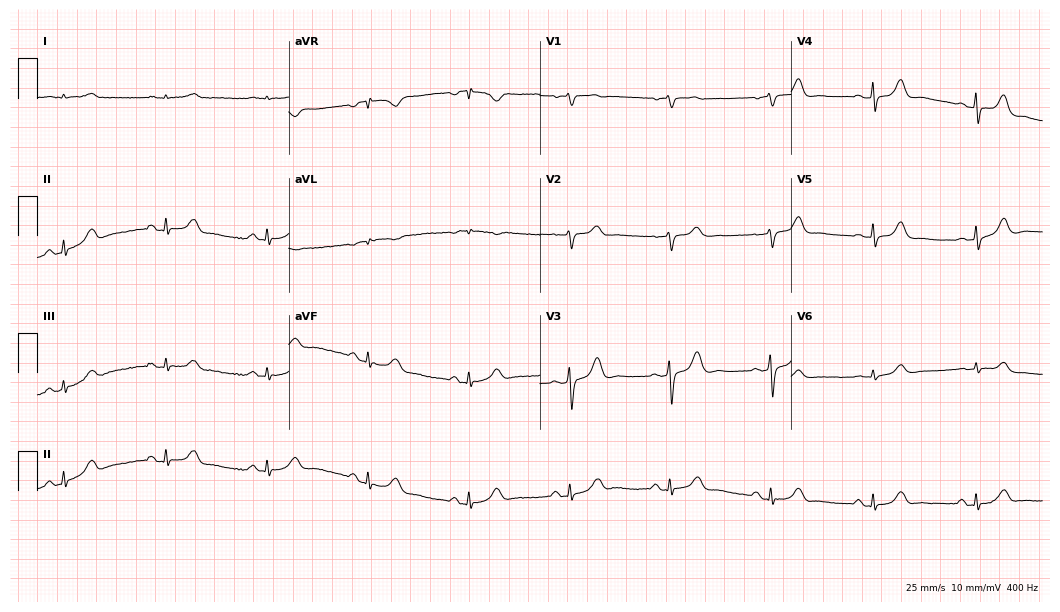
Resting 12-lead electrocardiogram (10.2-second recording at 400 Hz). Patient: an 83-year-old male. None of these six findings is recorded: first-degree AV block, right bundle branch block, left bundle branch block, sinus bradycardia, atrial fibrillation, sinus tachycardia.